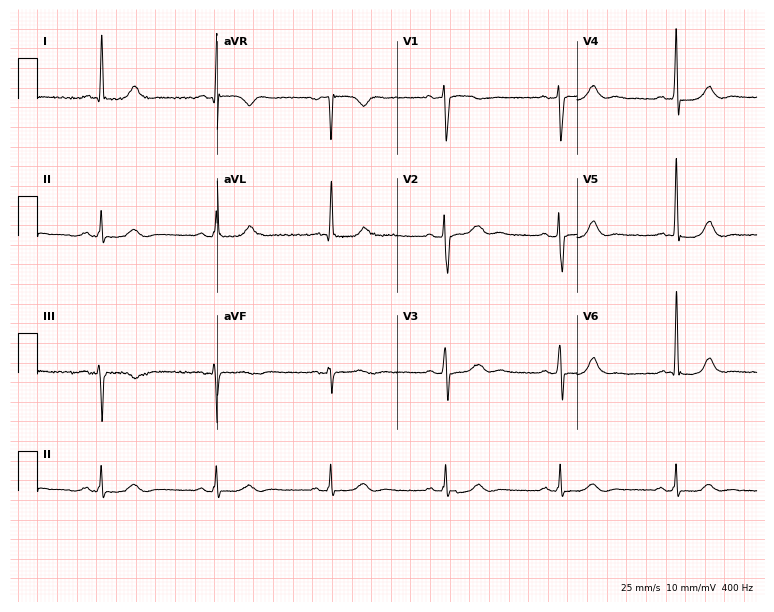
12-lead ECG from a female patient, 75 years old (7.3-second recording at 400 Hz). No first-degree AV block, right bundle branch block, left bundle branch block, sinus bradycardia, atrial fibrillation or sinus tachycardia recorded for this tracing. Other findings, if any, are not listed.